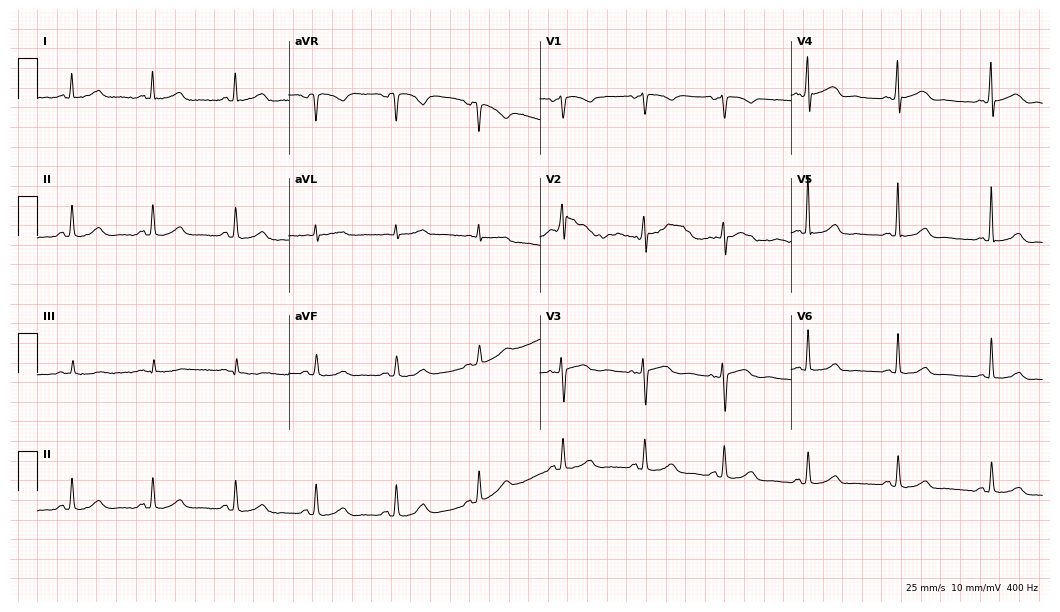
12-lead ECG (10.2-second recording at 400 Hz) from a female, 50 years old. Labelled as a normal ECG.